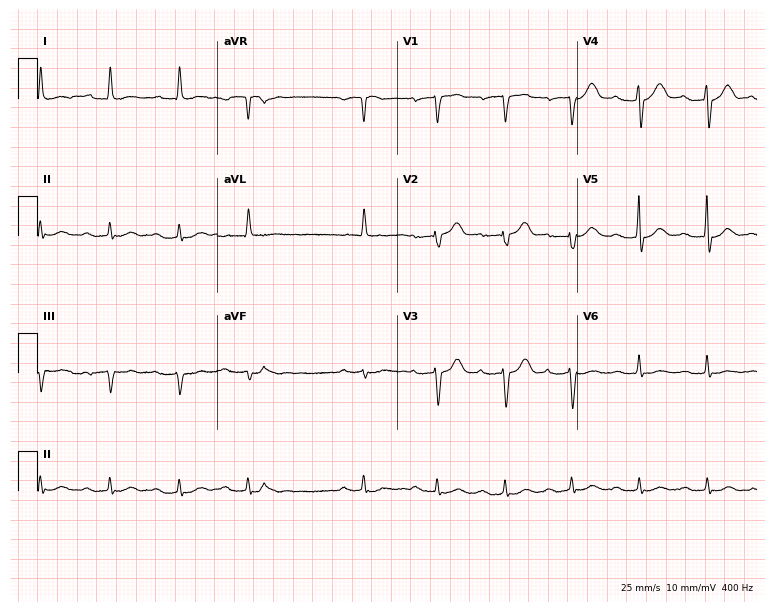
Electrocardiogram (7.3-second recording at 400 Hz), a male patient, 84 years old. Interpretation includes first-degree AV block.